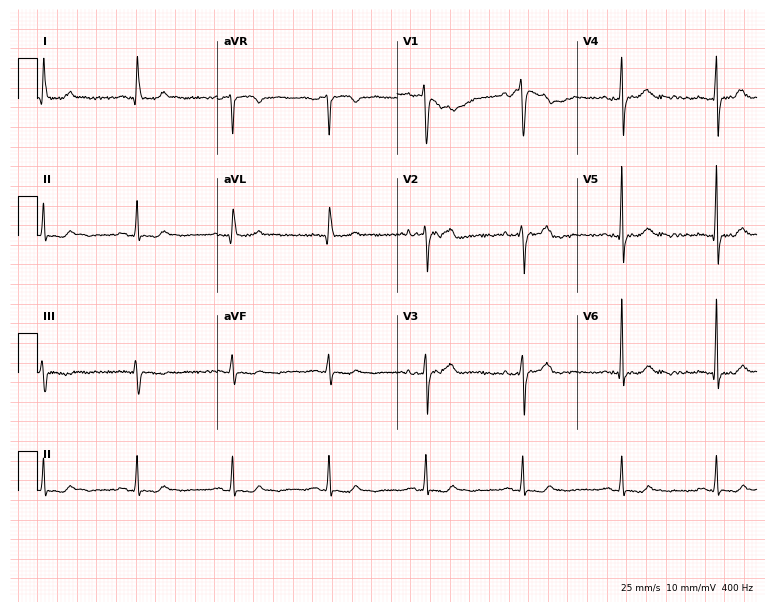
Resting 12-lead electrocardiogram. Patient: a 48-year-old female. None of these six findings is recorded: first-degree AV block, right bundle branch block, left bundle branch block, sinus bradycardia, atrial fibrillation, sinus tachycardia. Findings outside these six are not listed.